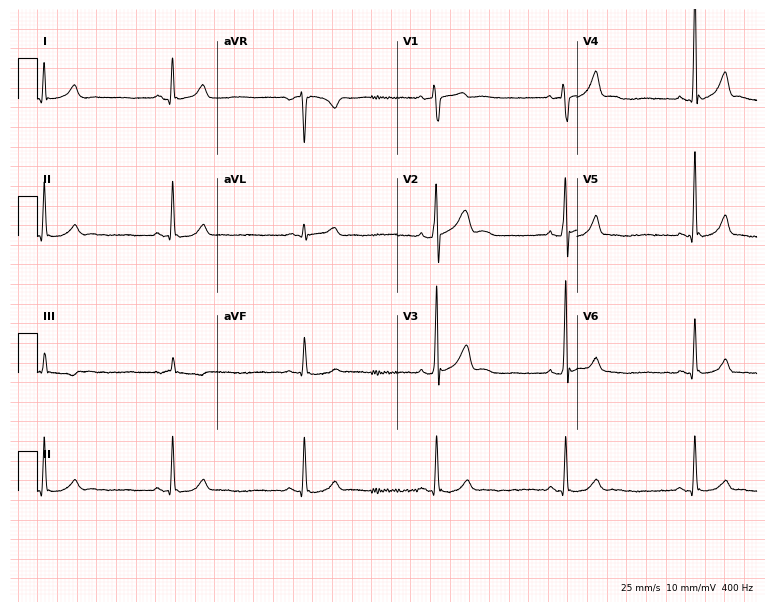
Resting 12-lead electrocardiogram. Patient: a male, 39 years old. The tracing shows sinus bradycardia (a sinus rate of 50 beats per minute or less).